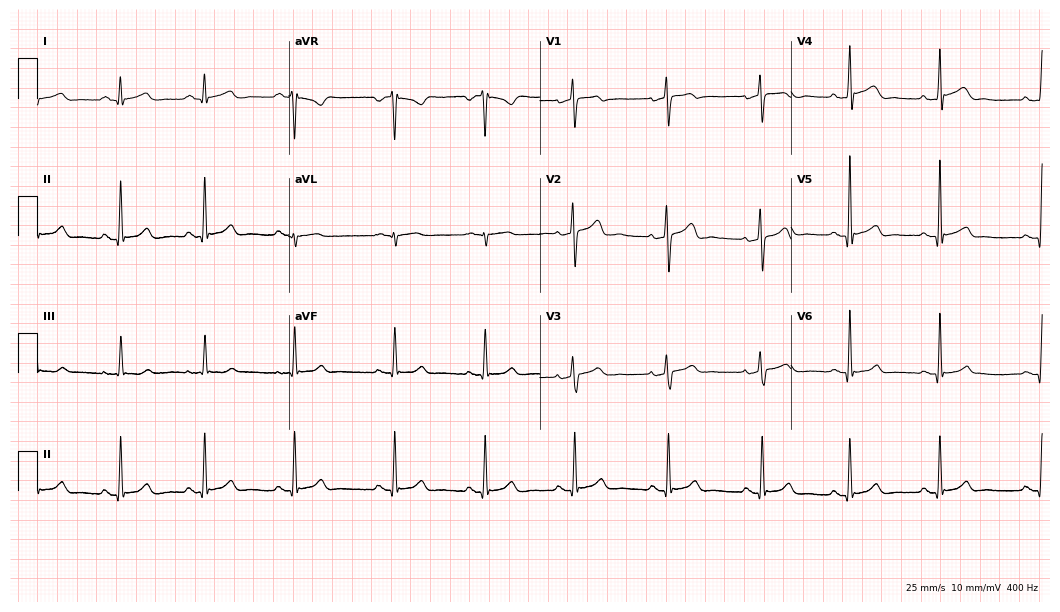
12-lead ECG (10.2-second recording at 400 Hz) from a male patient, 36 years old. Labelled as a normal ECG.